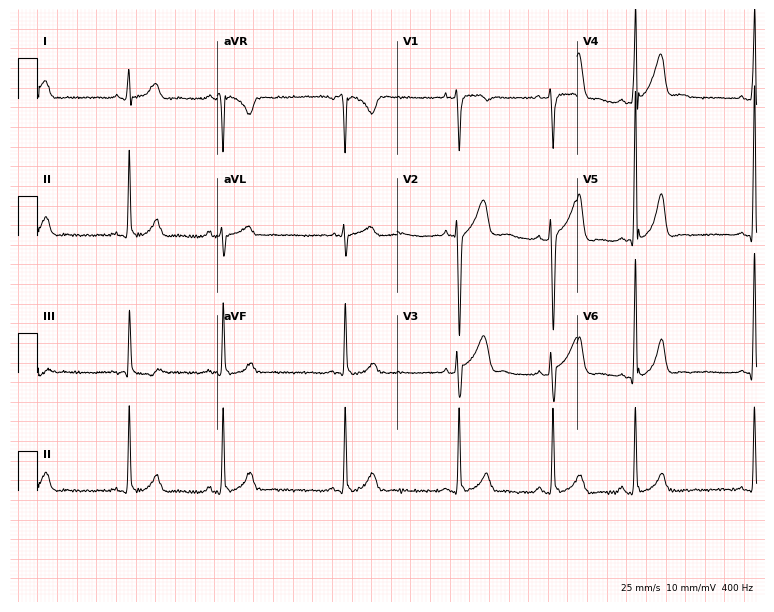
Standard 12-lead ECG recorded from an 18-year-old male patient. None of these six findings is recorded: first-degree AV block, right bundle branch block, left bundle branch block, sinus bradycardia, atrial fibrillation, sinus tachycardia. Findings outside these six are not listed.